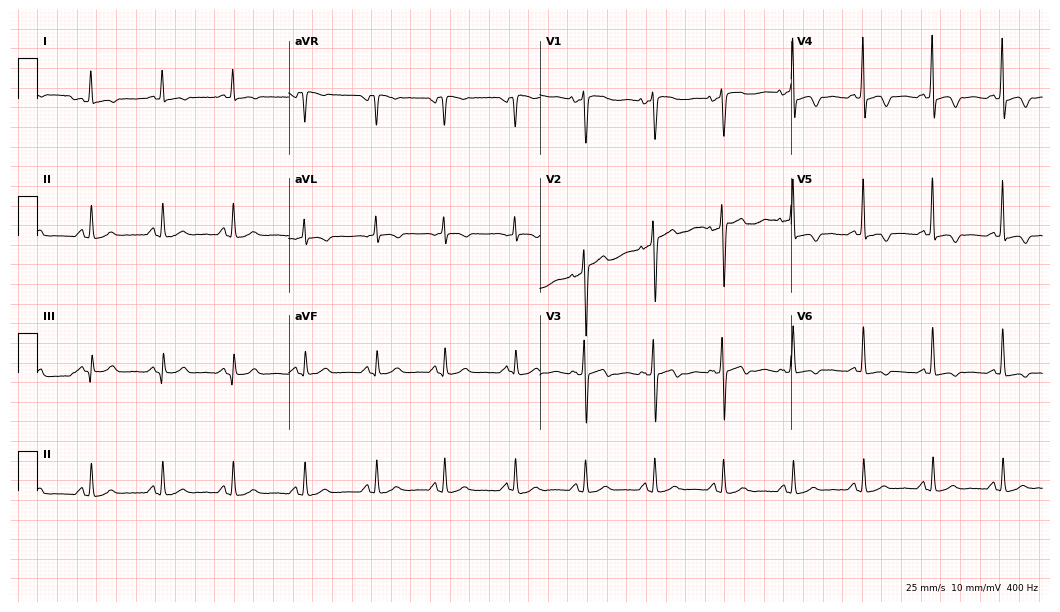
Standard 12-lead ECG recorded from a female patient, 52 years old. None of these six findings is recorded: first-degree AV block, right bundle branch block, left bundle branch block, sinus bradycardia, atrial fibrillation, sinus tachycardia. Findings outside these six are not listed.